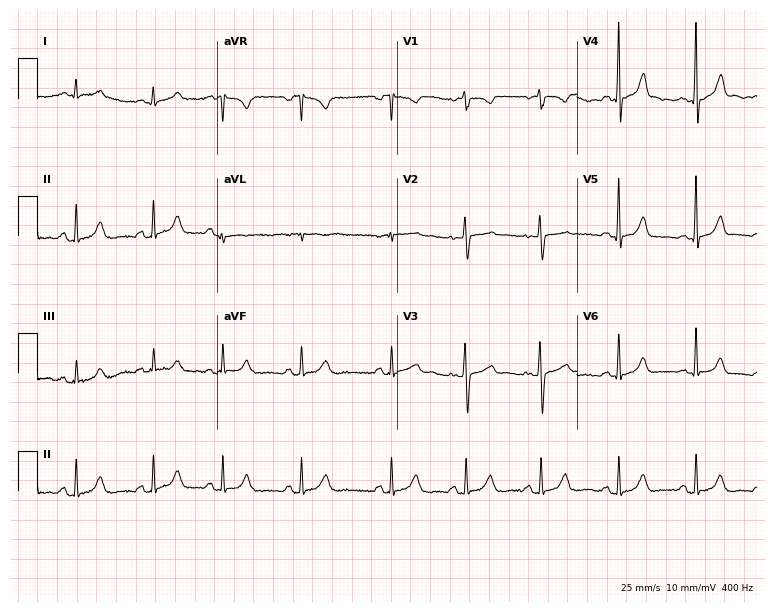
12-lead ECG from a 25-year-old female patient (7.3-second recording at 400 Hz). Recorded interpretation: within normal limits.